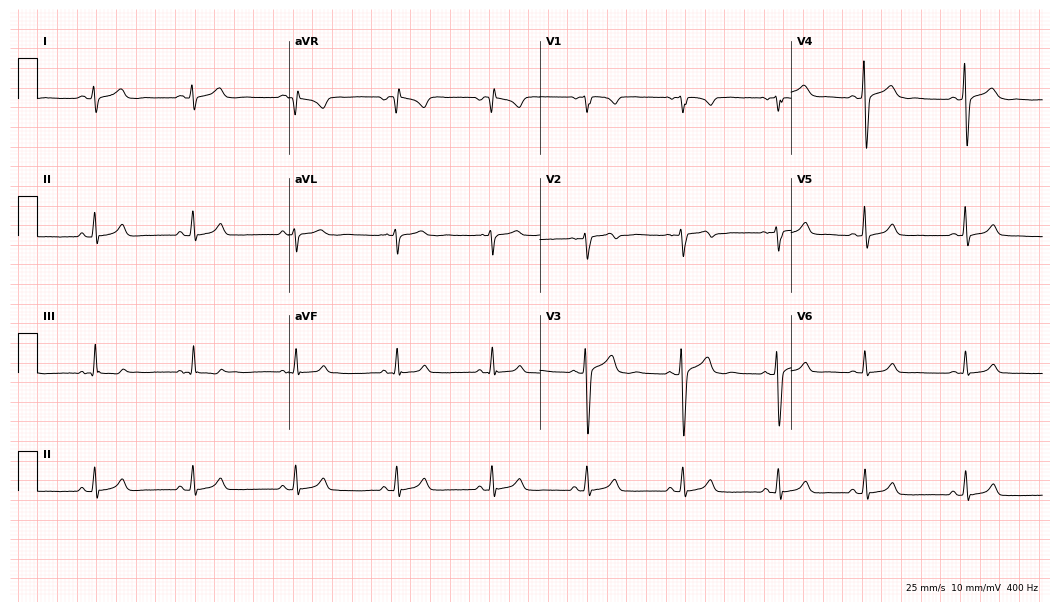
12-lead ECG from a 25-year-old male patient. Recorded interpretation: within normal limits.